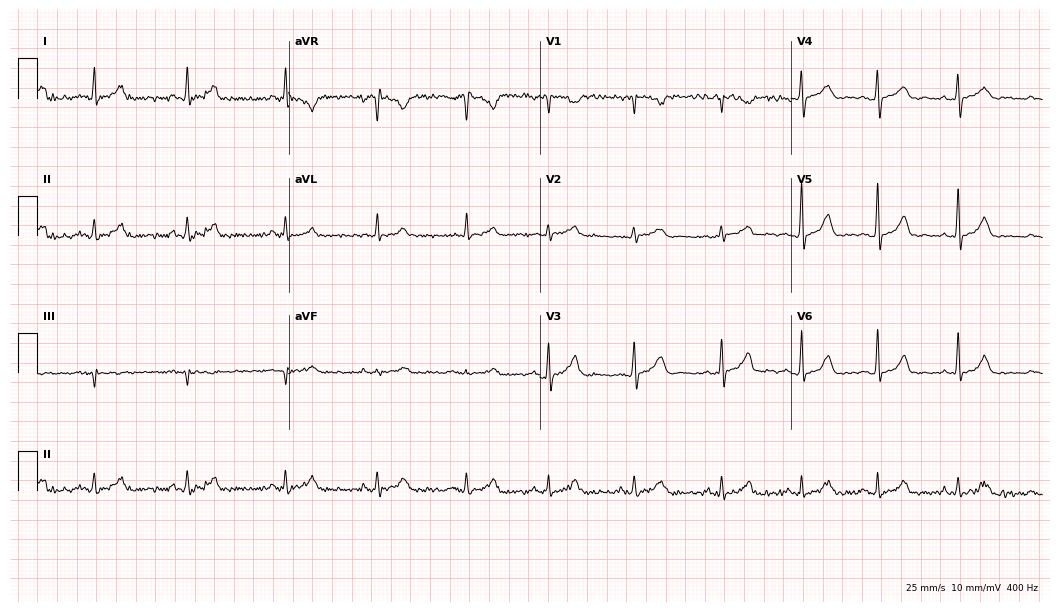
Electrocardiogram, a female, 41 years old. Of the six screened findings (first-degree AV block, right bundle branch block (RBBB), left bundle branch block (LBBB), sinus bradycardia, atrial fibrillation (AF), sinus tachycardia), none is recorded.